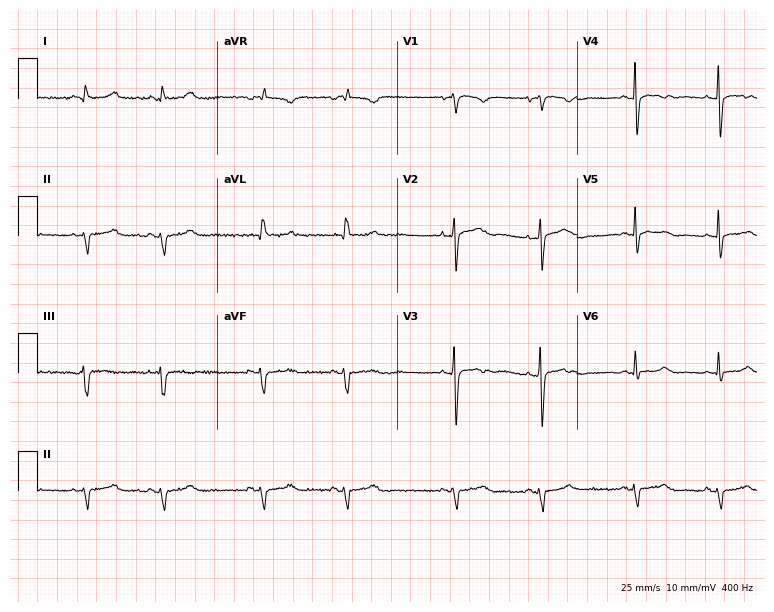
12-lead ECG from a 73-year-old man. Screened for six findings — first-degree AV block, right bundle branch block (RBBB), left bundle branch block (LBBB), sinus bradycardia, atrial fibrillation (AF), sinus tachycardia — none is recorded.